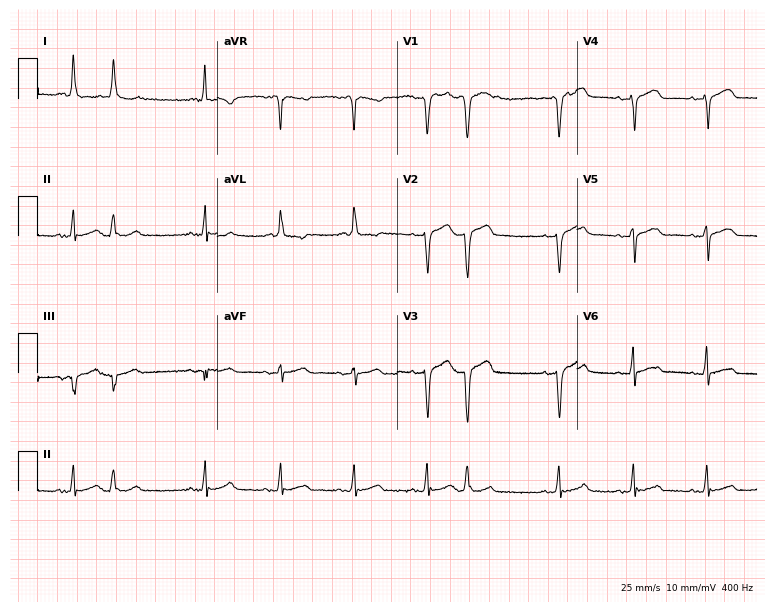
Electrocardiogram (7.3-second recording at 400 Hz), a 61-year-old female patient. Of the six screened findings (first-degree AV block, right bundle branch block, left bundle branch block, sinus bradycardia, atrial fibrillation, sinus tachycardia), none is recorded. Other findings, if any, are not listed.